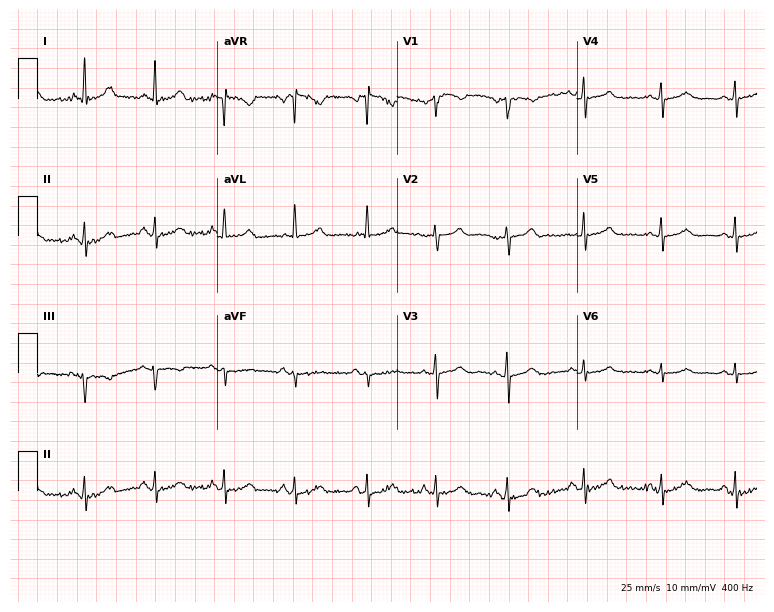
Standard 12-lead ECG recorded from a 69-year-old female. Read as a normal ECG.